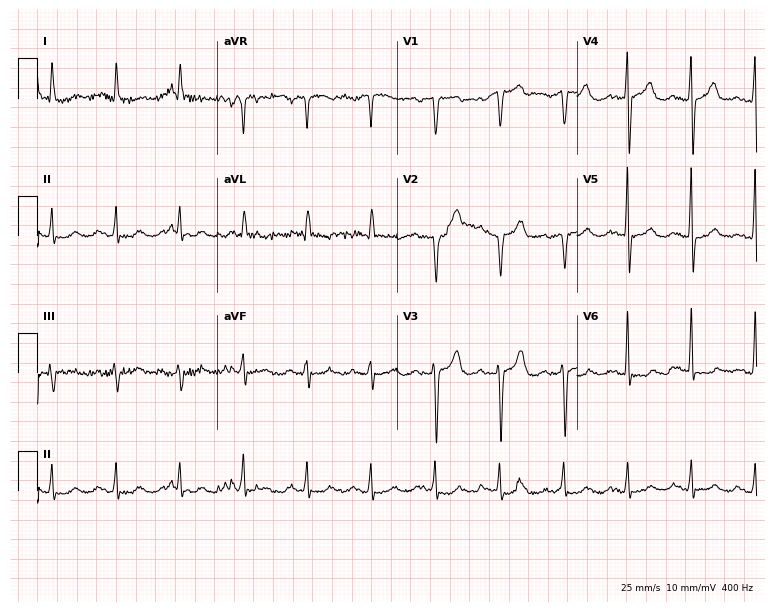
12-lead ECG from a 69-year-old male. Screened for six findings — first-degree AV block, right bundle branch block (RBBB), left bundle branch block (LBBB), sinus bradycardia, atrial fibrillation (AF), sinus tachycardia — none is recorded. Other findings, if any, are not listed.